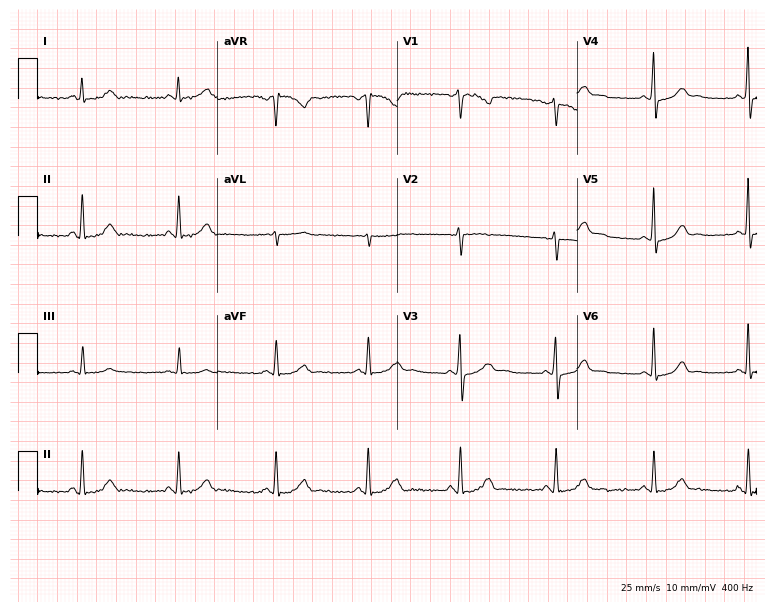
Electrocardiogram, a 39-year-old female patient. Of the six screened findings (first-degree AV block, right bundle branch block, left bundle branch block, sinus bradycardia, atrial fibrillation, sinus tachycardia), none is recorded. Only these six findings were labelled.